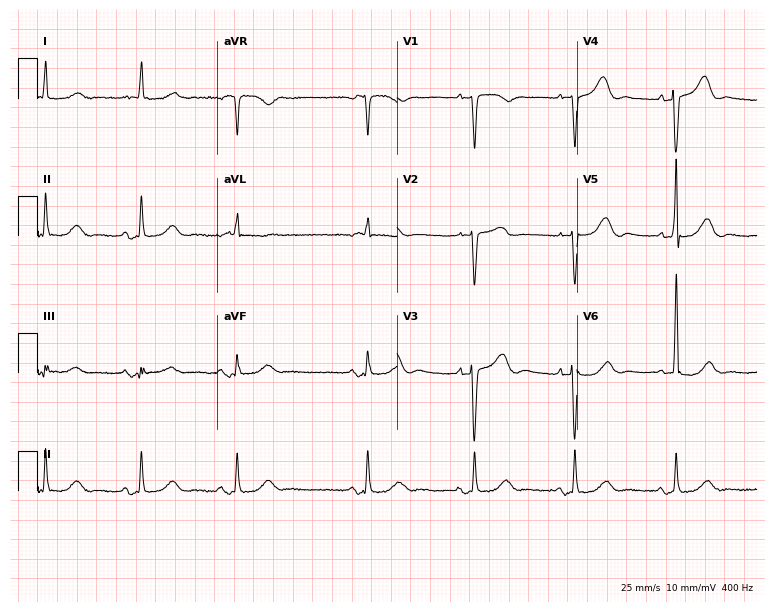
12-lead ECG from an 81-year-old female (7.3-second recording at 400 Hz). No first-degree AV block, right bundle branch block, left bundle branch block, sinus bradycardia, atrial fibrillation or sinus tachycardia recorded for this tracing. Other findings, if any, are not listed.